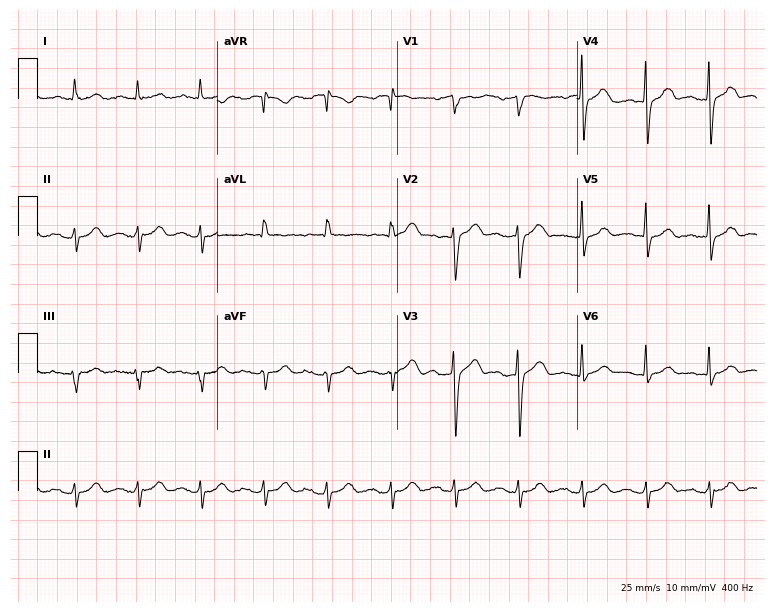
Resting 12-lead electrocardiogram (7.3-second recording at 400 Hz). Patient: a man, 83 years old. None of these six findings is recorded: first-degree AV block, right bundle branch block, left bundle branch block, sinus bradycardia, atrial fibrillation, sinus tachycardia.